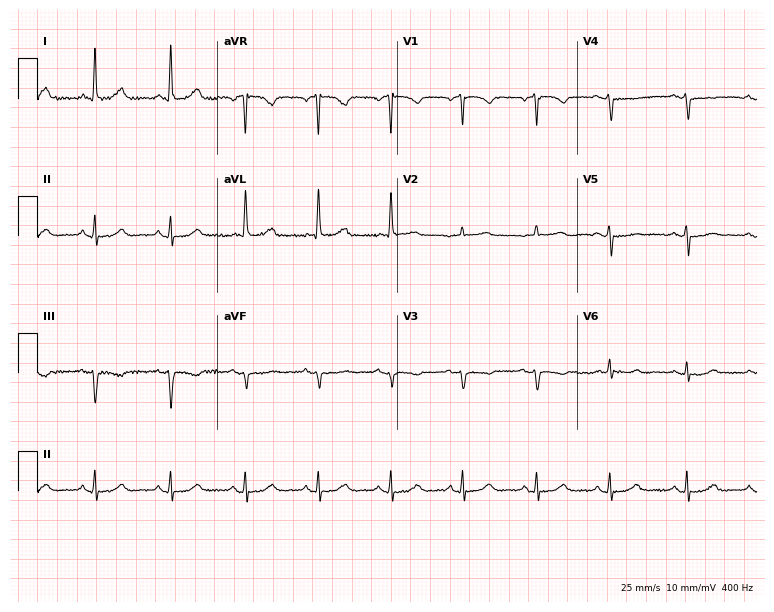
Resting 12-lead electrocardiogram. Patient: a woman, 60 years old. None of these six findings is recorded: first-degree AV block, right bundle branch block, left bundle branch block, sinus bradycardia, atrial fibrillation, sinus tachycardia. Only these six findings were labelled.